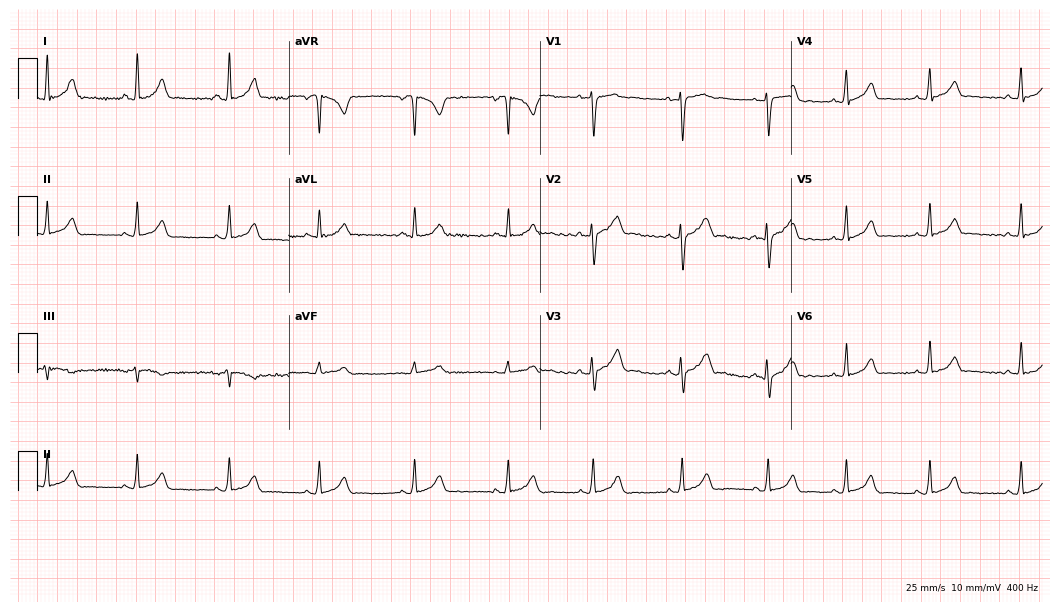
Standard 12-lead ECG recorded from a woman, 20 years old (10.2-second recording at 400 Hz). None of these six findings is recorded: first-degree AV block, right bundle branch block, left bundle branch block, sinus bradycardia, atrial fibrillation, sinus tachycardia. Only these six findings were labelled.